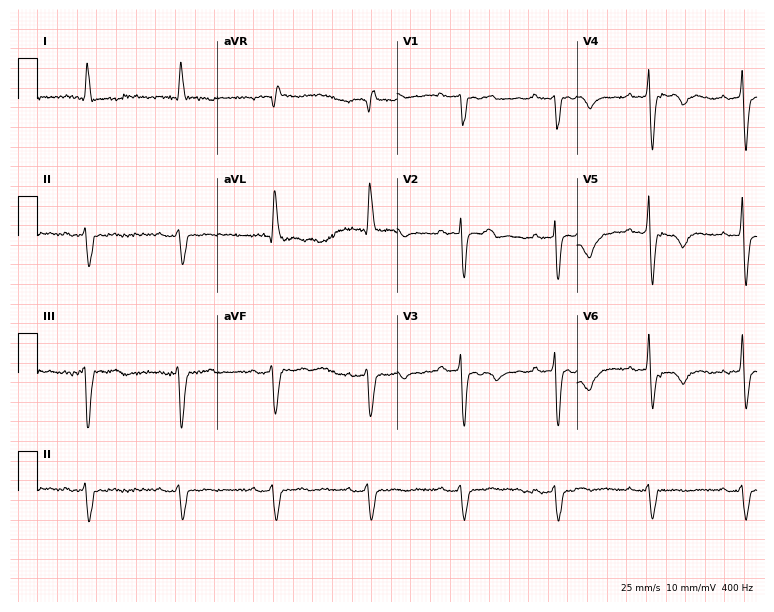
Resting 12-lead electrocardiogram. Patient: a man, 83 years old. None of these six findings is recorded: first-degree AV block, right bundle branch block (RBBB), left bundle branch block (LBBB), sinus bradycardia, atrial fibrillation (AF), sinus tachycardia. Findings outside these six are not listed.